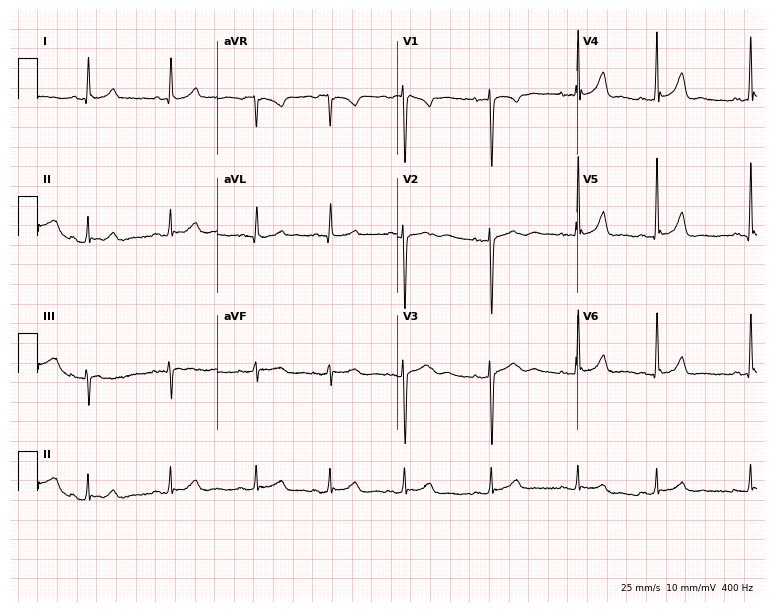
12-lead ECG from a 20-year-old female patient. No first-degree AV block, right bundle branch block, left bundle branch block, sinus bradycardia, atrial fibrillation or sinus tachycardia recorded for this tracing.